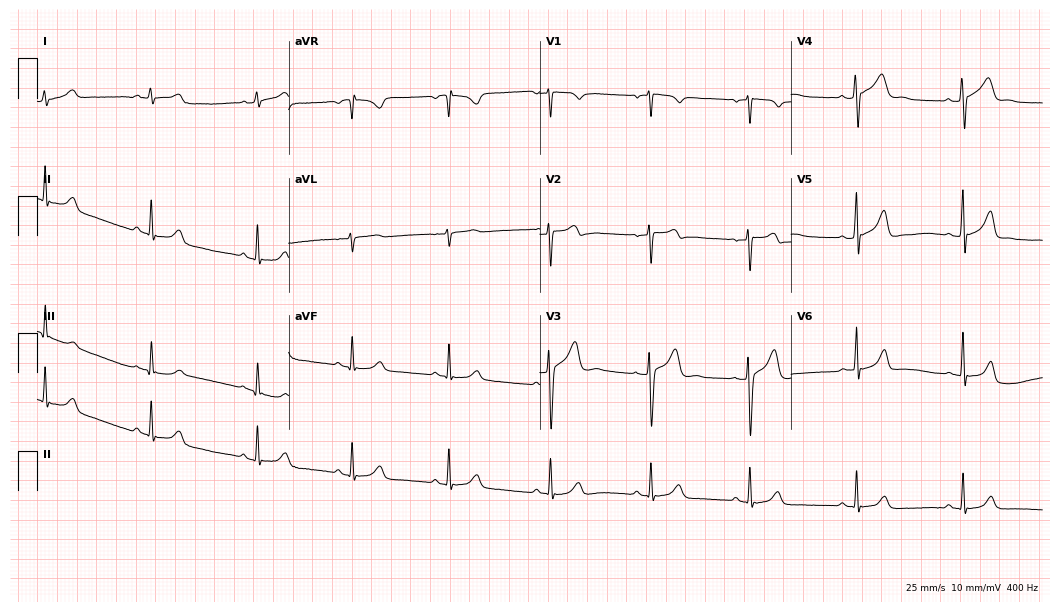
ECG — a 22-year-old man. Screened for six findings — first-degree AV block, right bundle branch block (RBBB), left bundle branch block (LBBB), sinus bradycardia, atrial fibrillation (AF), sinus tachycardia — none is recorded.